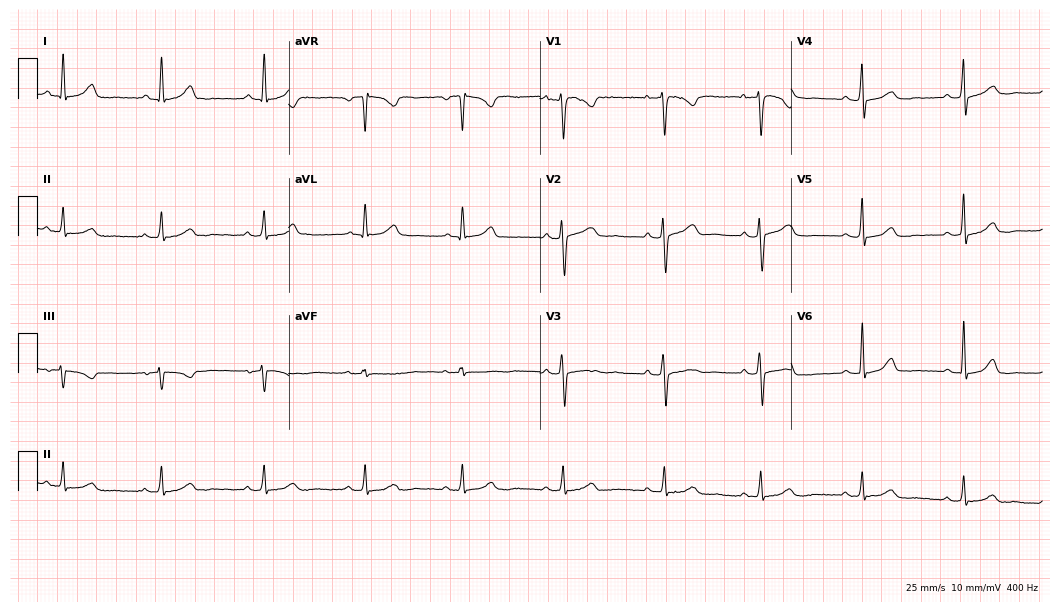
12-lead ECG from a woman, 45 years old. No first-degree AV block, right bundle branch block, left bundle branch block, sinus bradycardia, atrial fibrillation or sinus tachycardia recorded for this tracing.